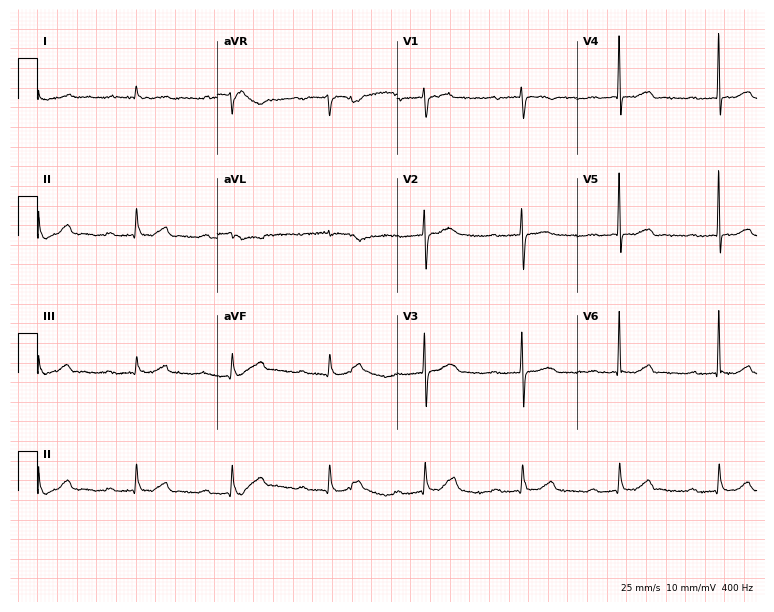
12-lead ECG (7.3-second recording at 400 Hz) from a 75-year-old male. Findings include first-degree AV block.